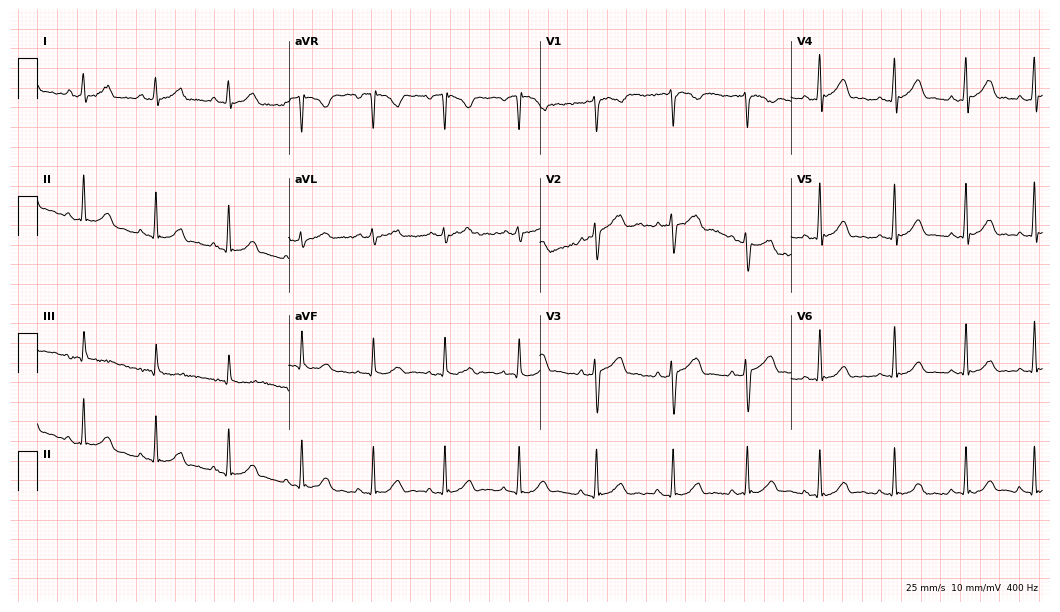
12-lead ECG from a female, 21 years old. Screened for six findings — first-degree AV block, right bundle branch block, left bundle branch block, sinus bradycardia, atrial fibrillation, sinus tachycardia — none is recorded.